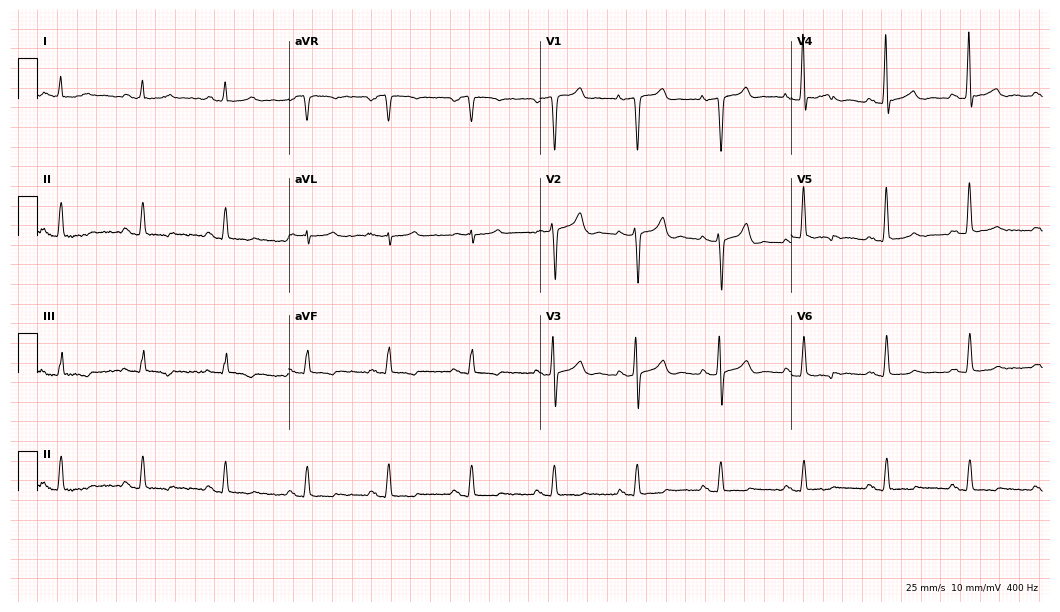
Standard 12-lead ECG recorded from a male patient, 74 years old (10.2-second recording at 400 Hz). None of these six findings is recorded: first-degree AV block, right bundle branch block, left bundle branch block, sinus bradycardia, atrial fibrillation, sinus tachycardia. Findings outside these six are not listed.